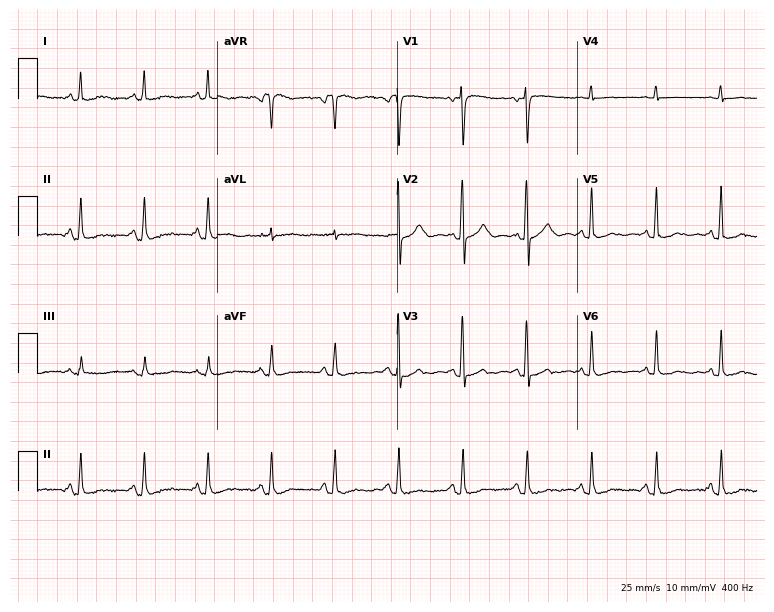
Resting 12-lead electrocardiogram (7.3-second recording at 400 Hz). Patient: a female, 63 years old. None of these six findings is recorded: first-degree AV block, right bundle branch block, left bundle branch block, sinus bradycardia, atrial fibrillation, sinus tachycardia.